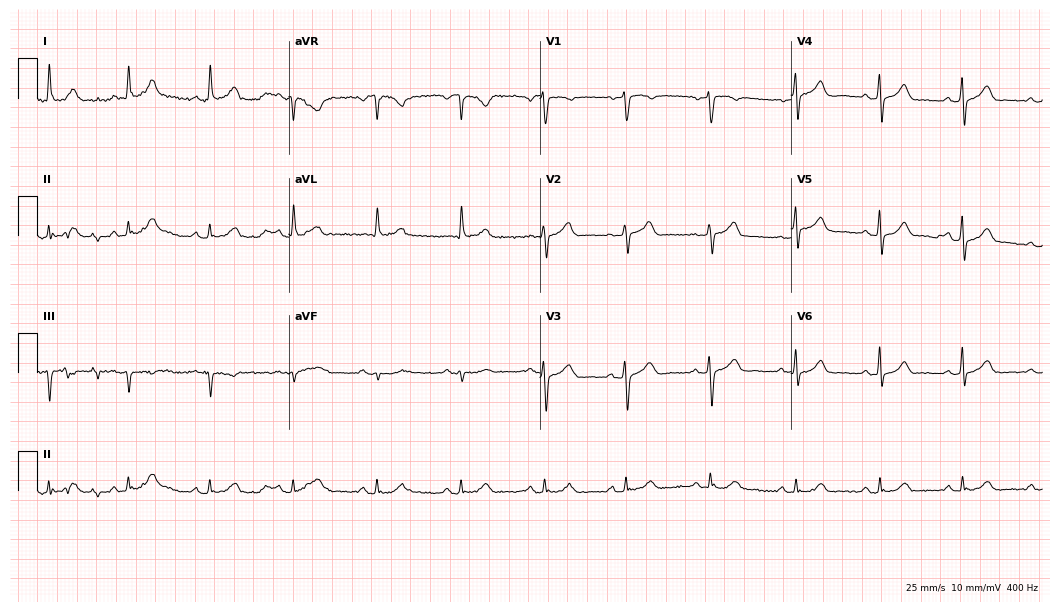
12-lead ECG from a 61-year-old female (10.2-second recording at 400 Hz). Recorded interpretation: within normal limits.